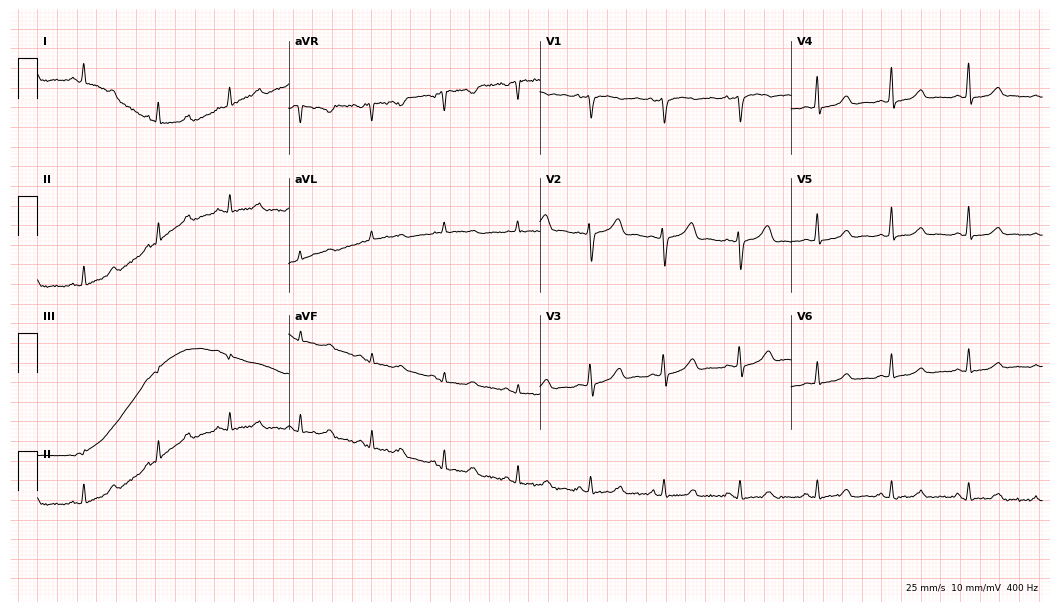
12-lead ECG from a female, 50 years old. Labelled as a normal ECG.